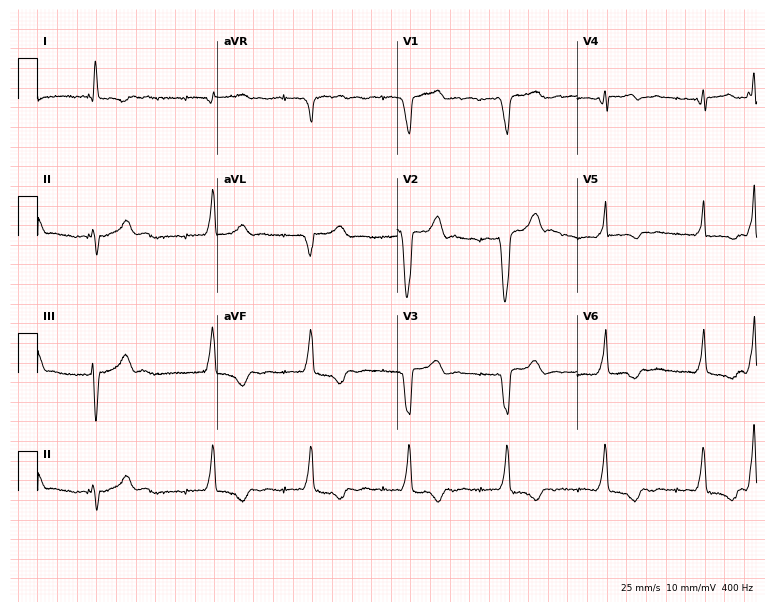
12-lead ECG from a female patient, 80 years old. Screened for six findings — first-degree AV block, right bundle branch block (RBBB), left bundle branch block (LBBB), sinus bradycardia, atrial fibrillation (AF), sinus tachycardia — none is recorded.